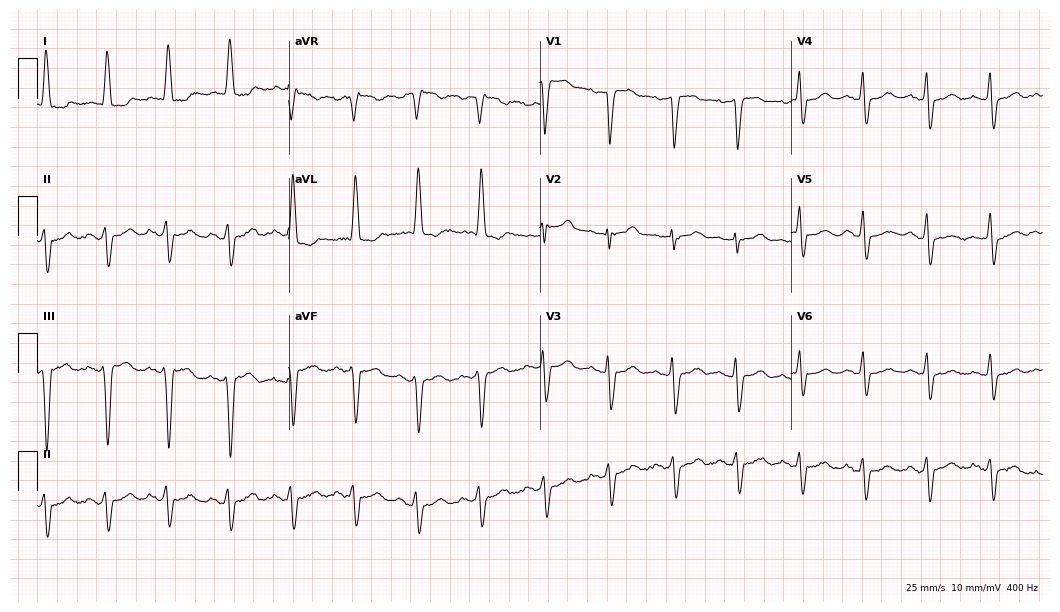
Standard 12-lead ECG recorded from a female, 72 years old (10.2-second recording at 400 Hz). None of these six findings is recorded: first-degree AV block, right bundle branch block, left bundle branch block, sinus bradycardia, atrial fibrillation, sinus tachycardia. Findings outside these six are not listed.